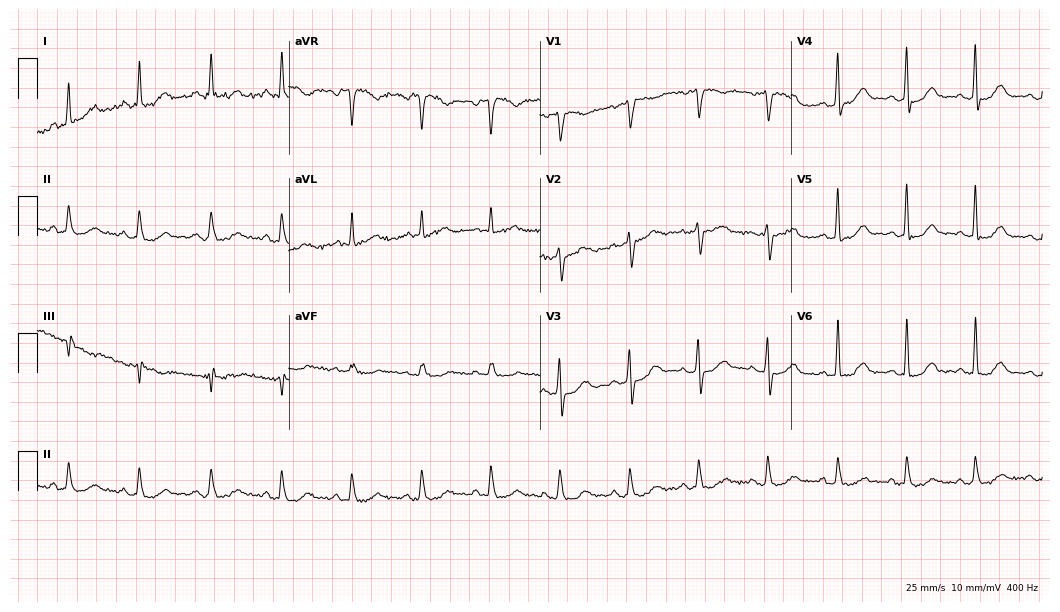
Electrocardiogram (10.2-second recording at 400 Hz), a female, 54 years old. Overall reading on record: normal ECG.